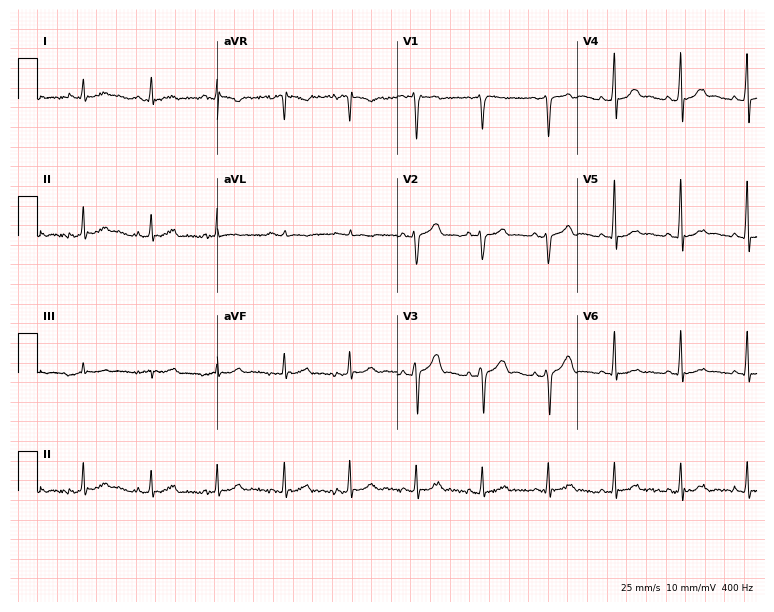
12-lead ECG (7.3-second recording at 400 Hz) from a 32-year-old female patient. Labelled as a normal ECG.